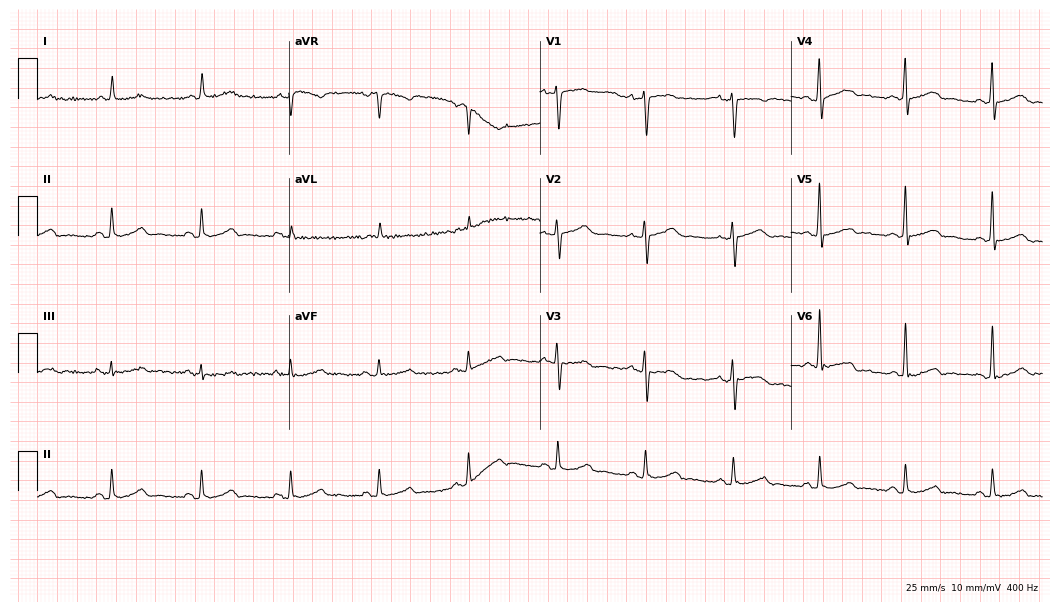
12-lead ECG from a female patient, 67 years old. Labelled as a normal ECG.